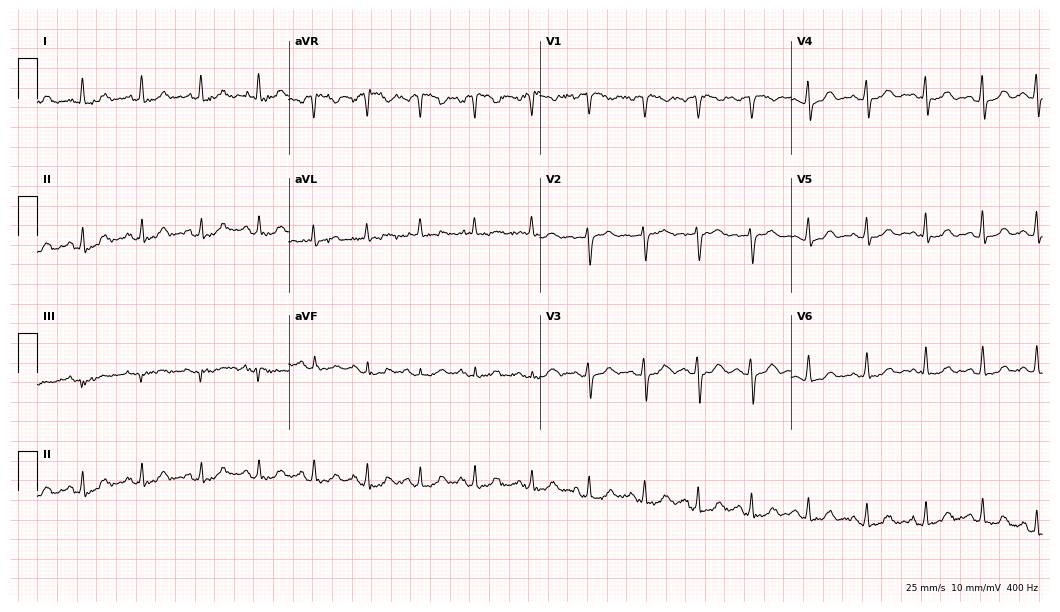
12-lead ECG from a 59-year-old woman. Findings include sinus tachycardia (a sinus rate of 100 beats per minute or more).